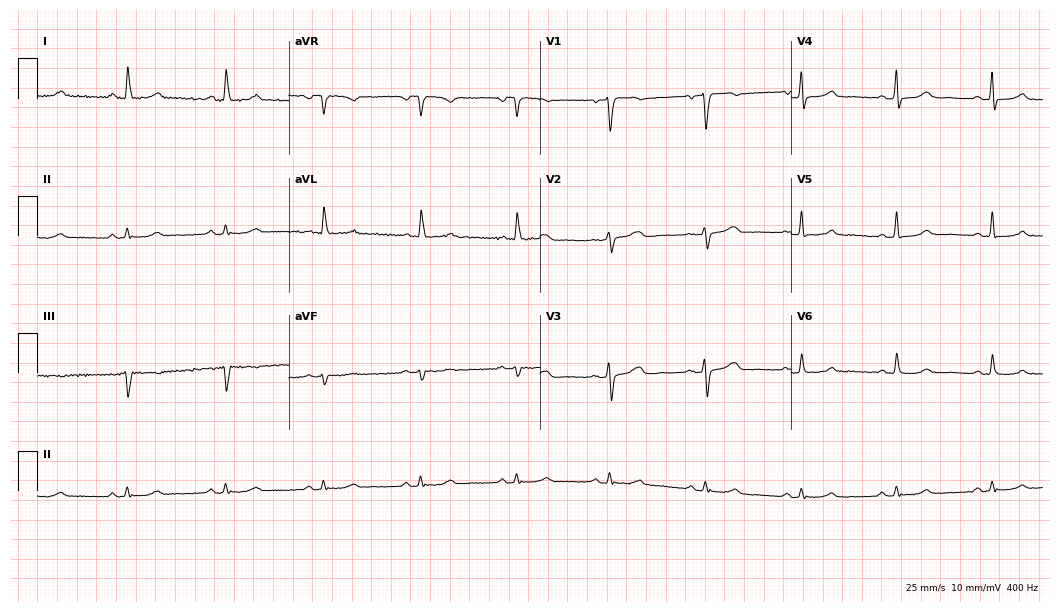
12-lead ECG from a 67-year-old female patient. Labelled as a normal ECG.